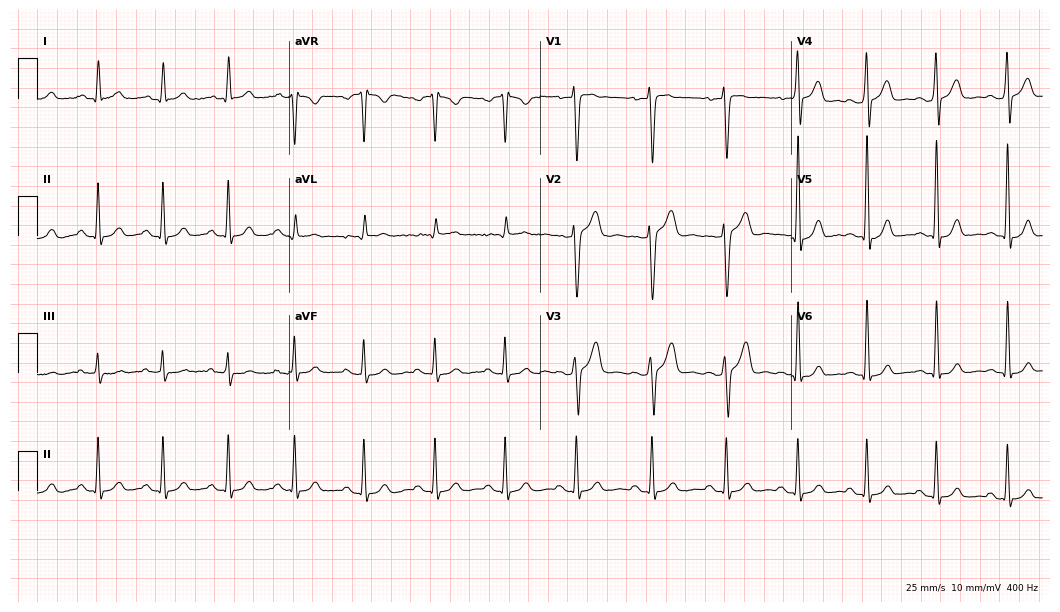
12-lead ECG from a 24-year-old man. Recorded interpretation: within normal limits.